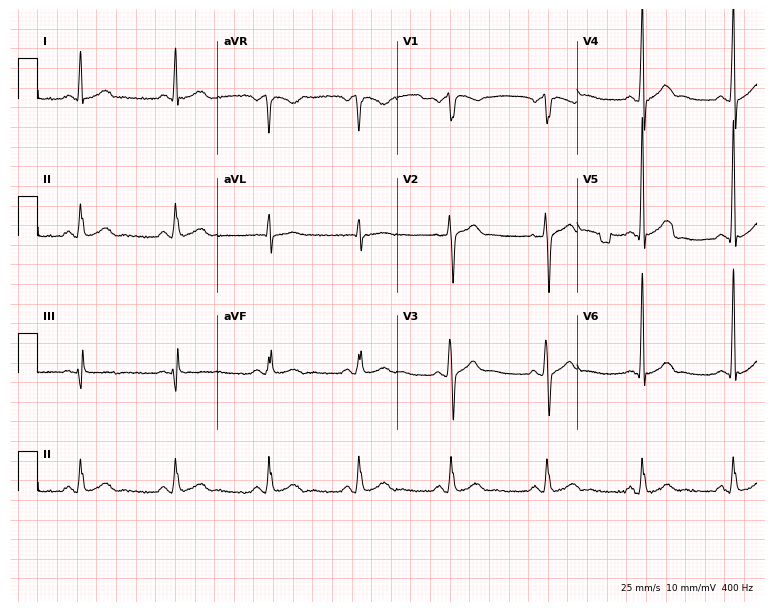
12-lead ECG from a 44-year-old male. Recorded interpretation: within normal limits.